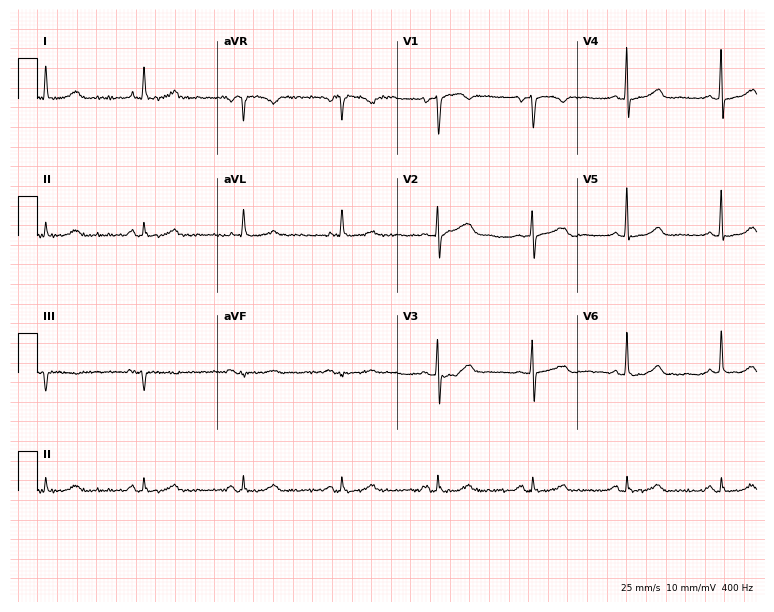
Resting 12-lead electrocardiogram. Patient: a female, 59 years old. Read as a normal ECG.